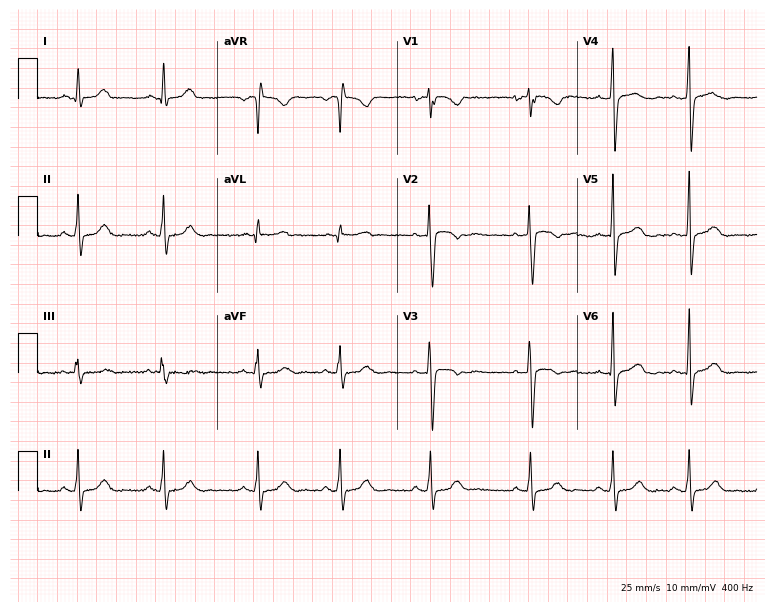
Resting 12-lead electrocardiogram (7.3-second recording at 400 Hz). Patient: a woman, 28 years old. None of these six findings is recorded: first-degree AV block, right bundle branch block, left bundle branch block, sinus bradycardia, atrial fibrillation, sinus tachycardia.